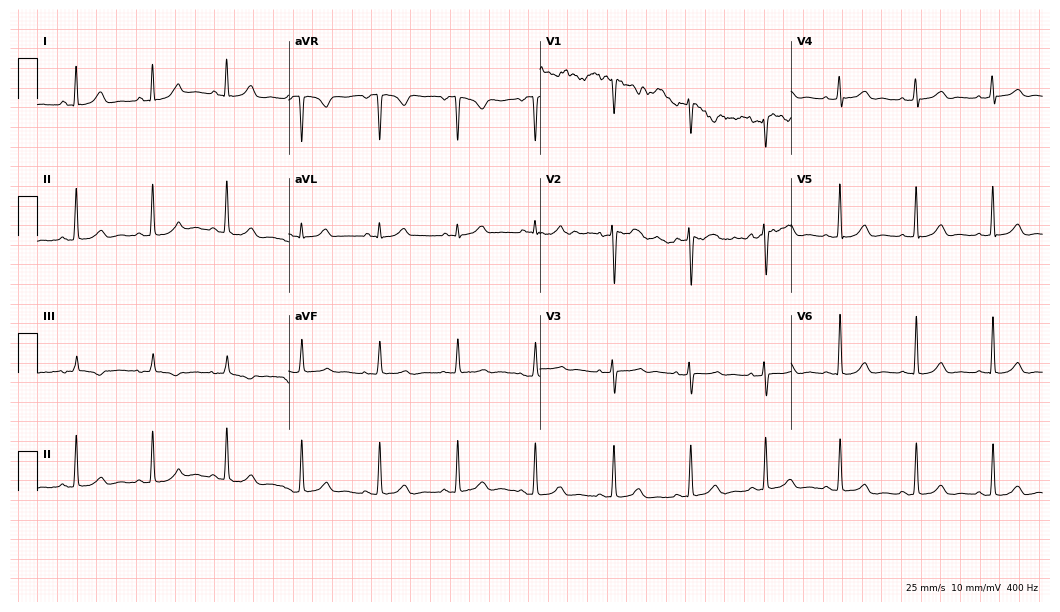
12-lead ECG (10.2-second recording at 400 Hz) from a female patient, 43 years old. Labelled as a normal ECG.